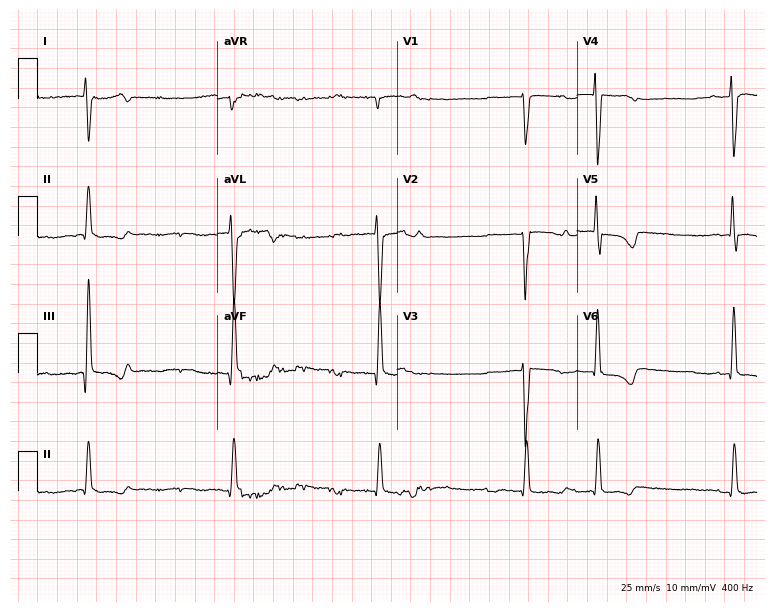
Electrocardiogram, a woman, 78 years old. Of the six screened findings (first-degree AV block, right bundle branch block (RBBB), left bundle branch block (LBBB), sinus bradycardia, atrial fibrillation (AF), sinus tachycardia), none is recorded. Only these six findings were labelled.